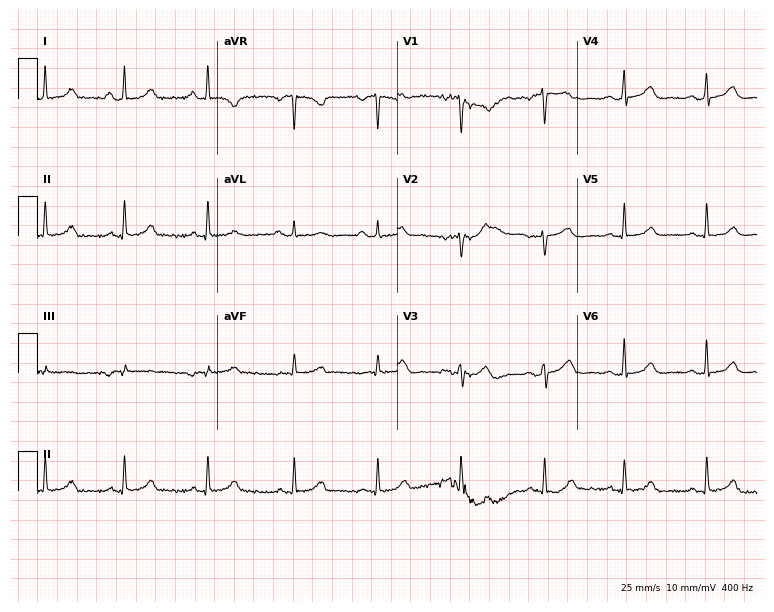
12-lead ECG from a female patient, 50 years old. Recorded interpretation: within normal limits.